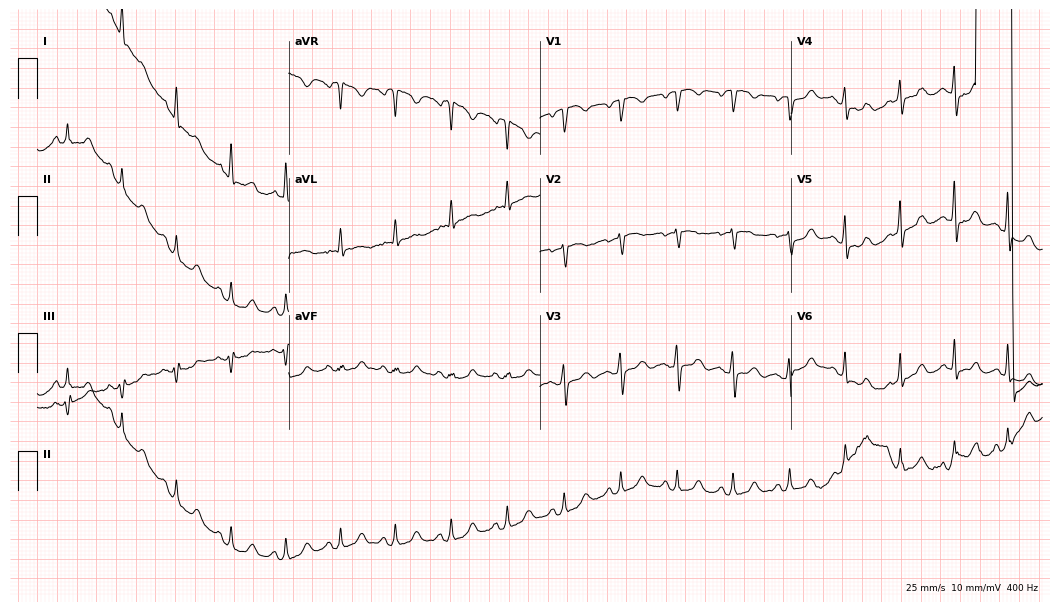
12-lead ECG from a 58-year-old woman. Screened for six findings — first-degree AV block, right bundle branch block (RBBB), left bundle branch block (LBBB), sinus bradycardia, atrial fibrillation (AF), sinus tachycardia — none is recorded. Findings outside these six are not listed.